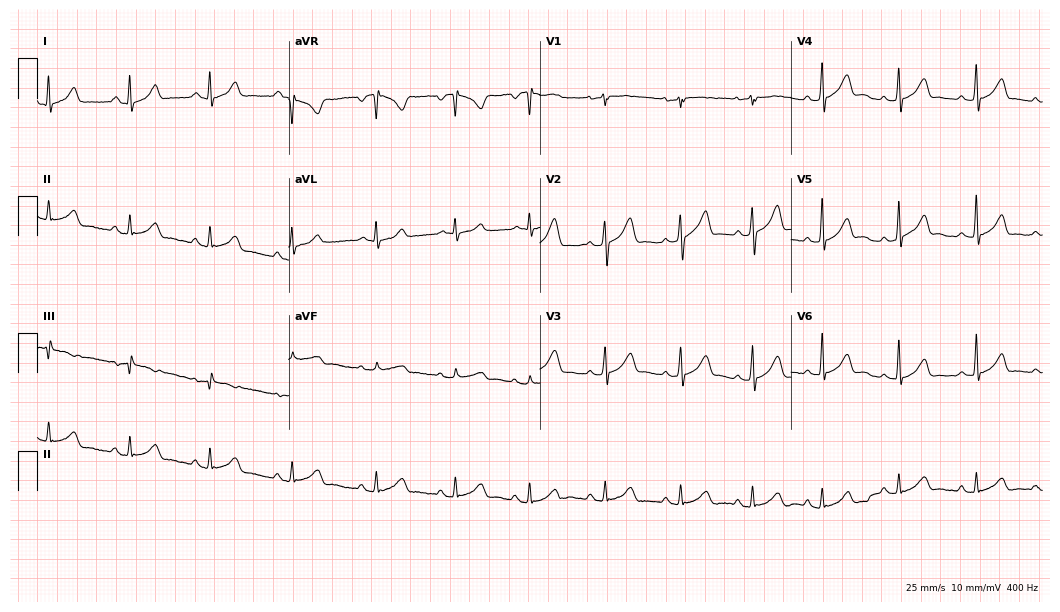
Standard 12-lead ECG recorded from a 28-year-old male. Read as a normal ECG.